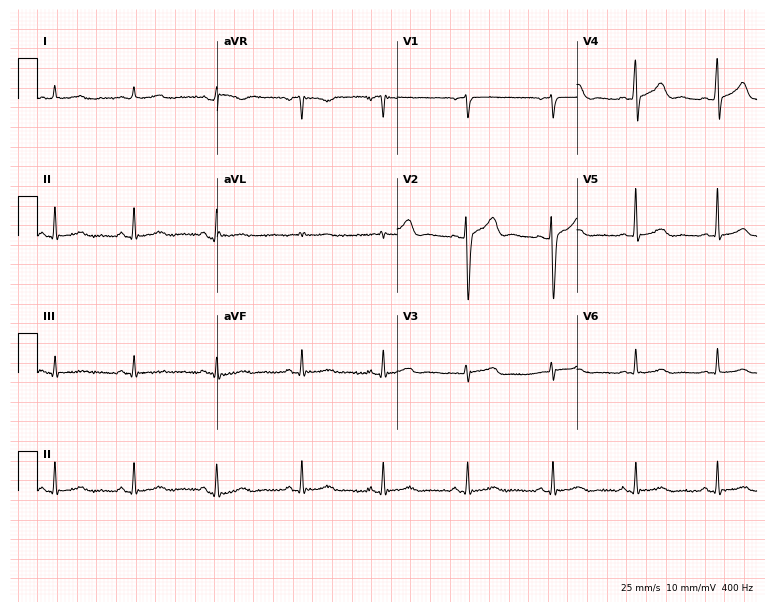
12-lead ECG from a 52-year-old woman. Labelled as a normal ECG.